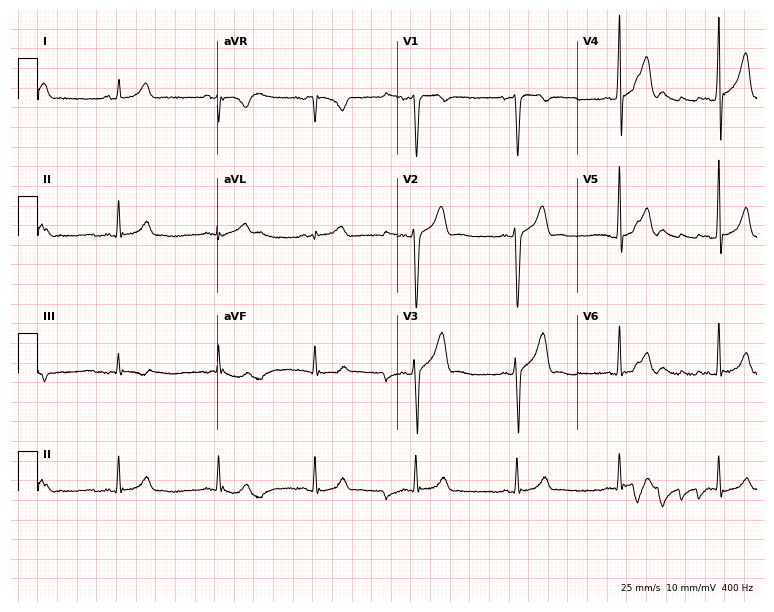
Resting 12-lead electrocardiogram. Patient: a female, 22 years old. None of these six findings is recorded: first-degree AV block, right bundle branch block, left bundle branch block, sinus bradycardia, atrial fibrillation, sinus tachycardia. Other findings, if any, are not listed.